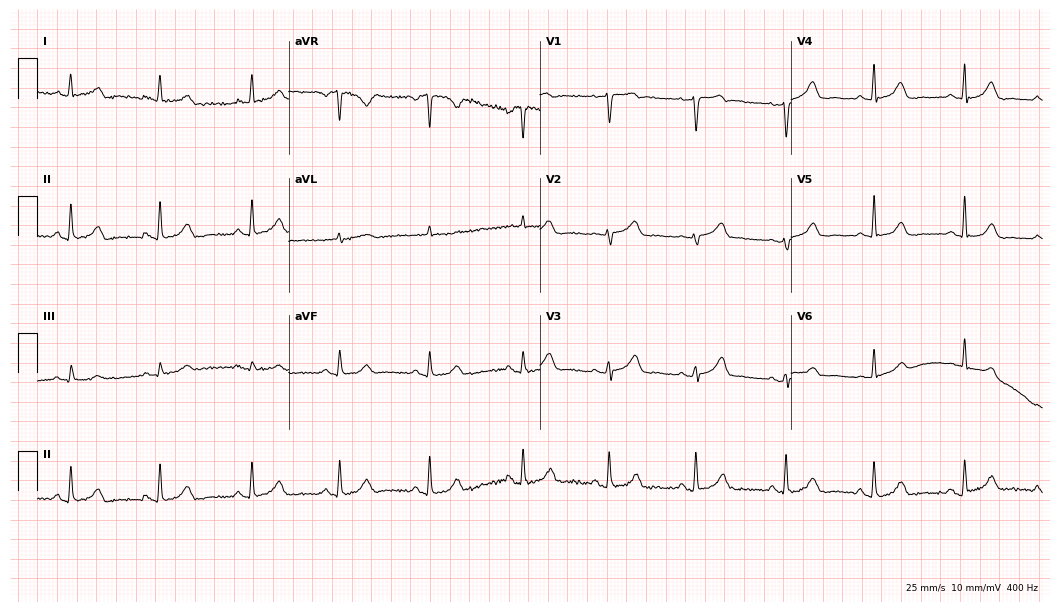
12-lead ECG (10.2-second recording at 400 Hz) from a woman, 61 years old. Screened for six findings — first-degree AV block, right bundle branch block, left bundle branch block, sinus bradycardia, atrial fibrillation, sinus tachycardia — none is recorded.